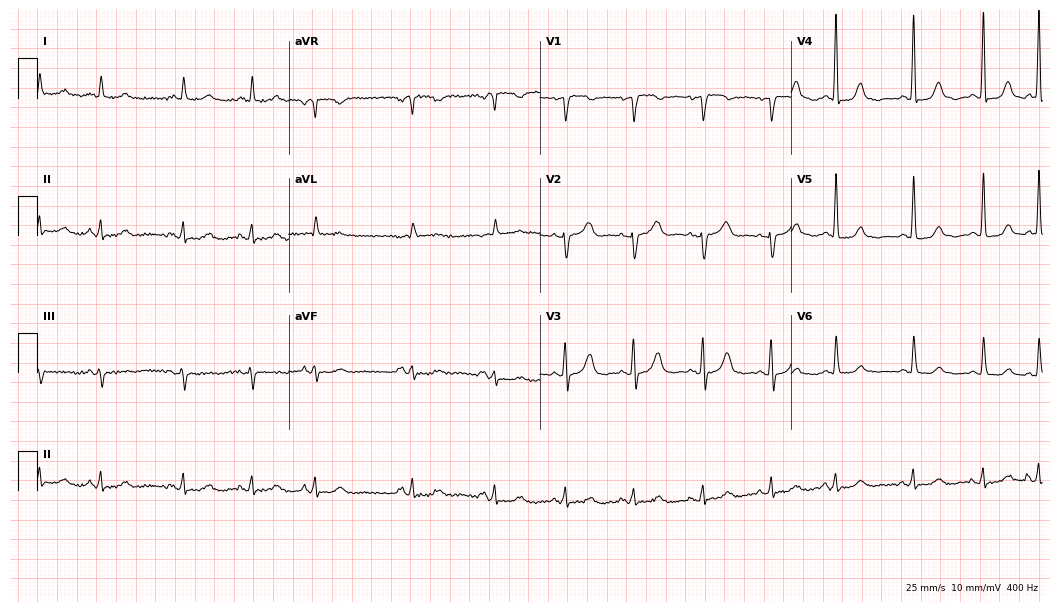
ECG — an 80-year-old female patient. Screened for six findings — first-degree AV block, right bundle branch block (RBBB), left bundle branch block (LBBB), sinus bradycardia, atrial fibrillation (AF), sinus tachycardia — none is recorded.